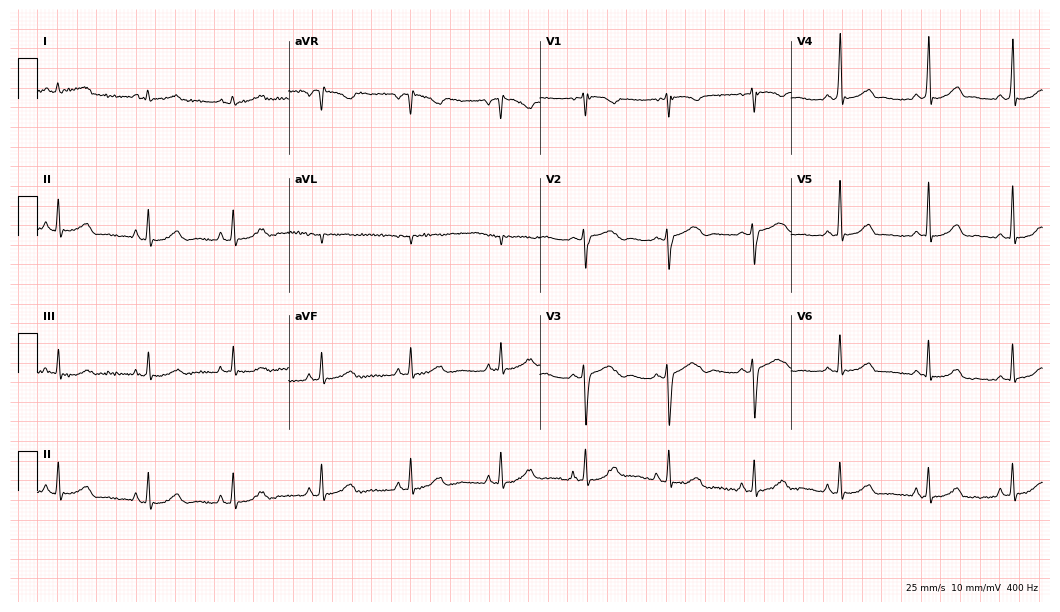
ECG — a female, 27 years old. Labelled as a normal ECG.